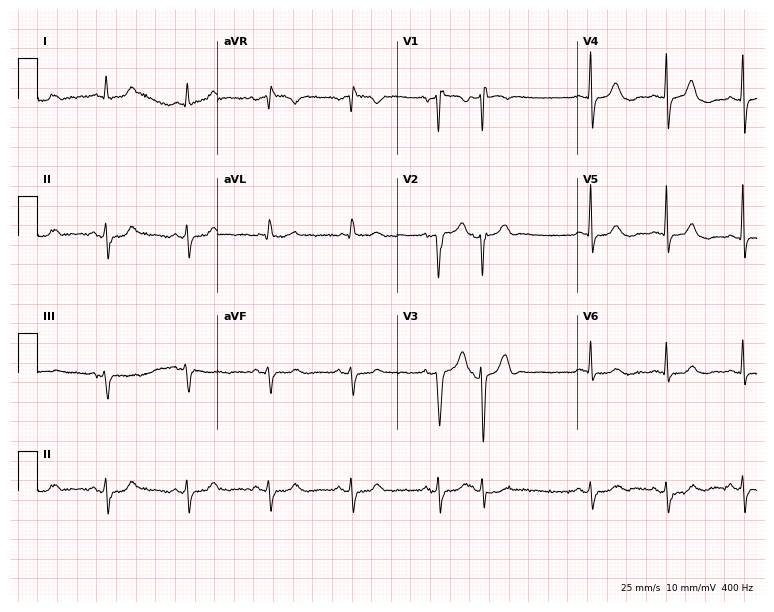
ECG — an 83-year-old male patient. Screened for six findings — first-degree AV block, right bundle branch block, left bundle branch block, sinus bradycardia, atrial fibrillation, sinus tachycardia — none is recorded.